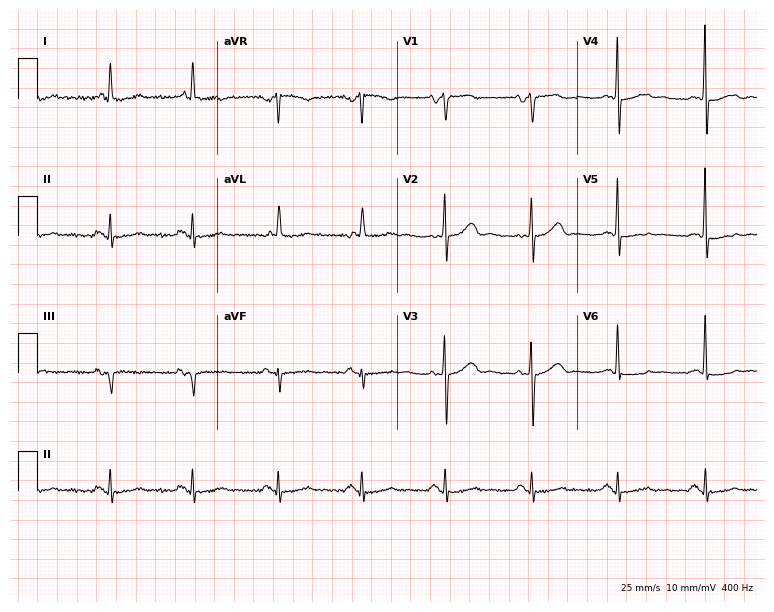
Standard 12-lead ECG recorded from a 60-year-old female. Read as a normal ECG.